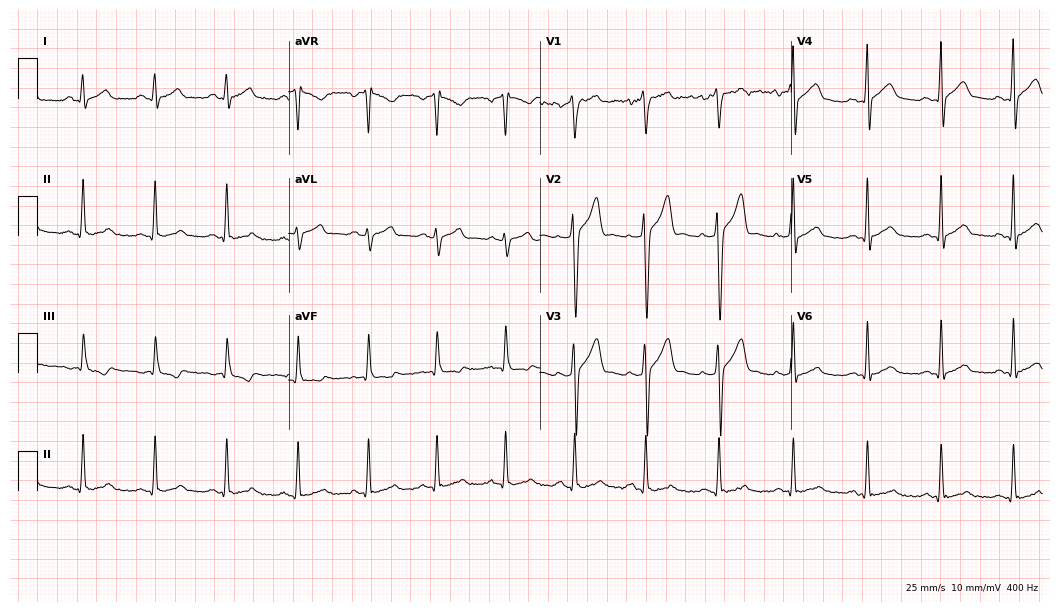
ECG — a 25-year-old man. Screened for six findings — first-degree AV block, right bundle branch block (RBBB), left bundle branch block (LBBB), sinus bradycardia, atrial fibrillation (AF), sinus tachycardia — none is recorded.